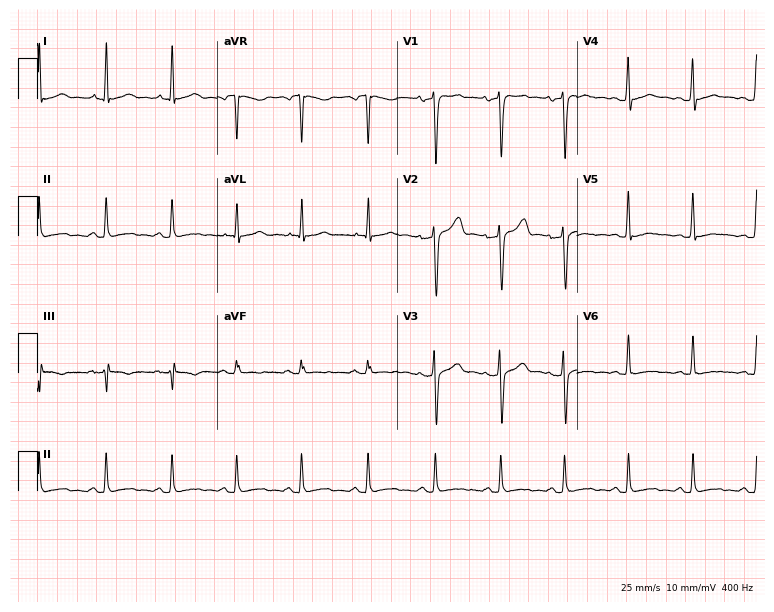
Resting 12-lead electrocardiogram. Patient: a male, 42 years old. None of these six findings is recorded: first-degree AV block, right bundle branch block, left bundle branch block, sinus bradycardia, atrial fibrillation, sinus tachycardia.